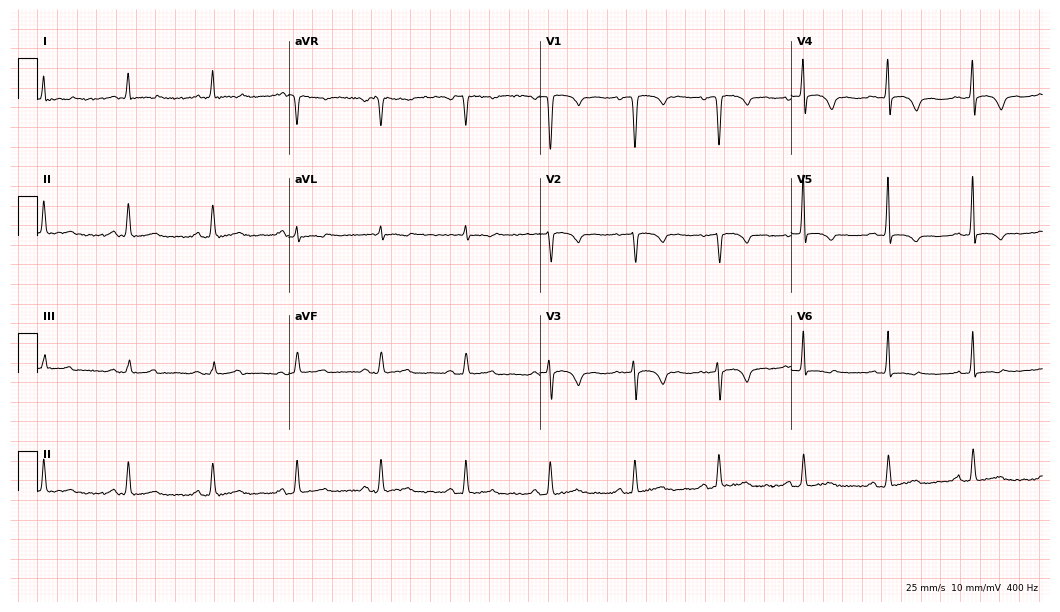
Electrocardiogram (10.2-second recording at 400 Hz), a 75-year-old female. Of the six screened findings (first-degree AV block, right bundle branch block (RBBB), left bundle branch block (LBBB), sinus bradycardia, atrial fibrillation (AF), sinus tachycardia), none is recorded.